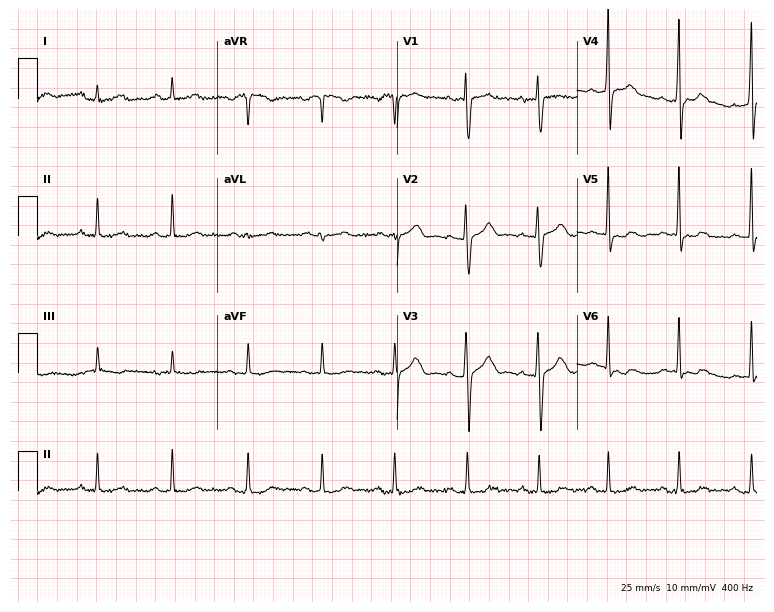
Standard 12-lead ECG recorded from a 32-year-old female (7.3-second recording at 400 Hz). None of these six findings is recorded: first-degree AV block, right bundle branch block, left bundle branch block, sinus bradycardia, atrial fibrillation, sinus tachycardia. Other findings, if any, are not listed.